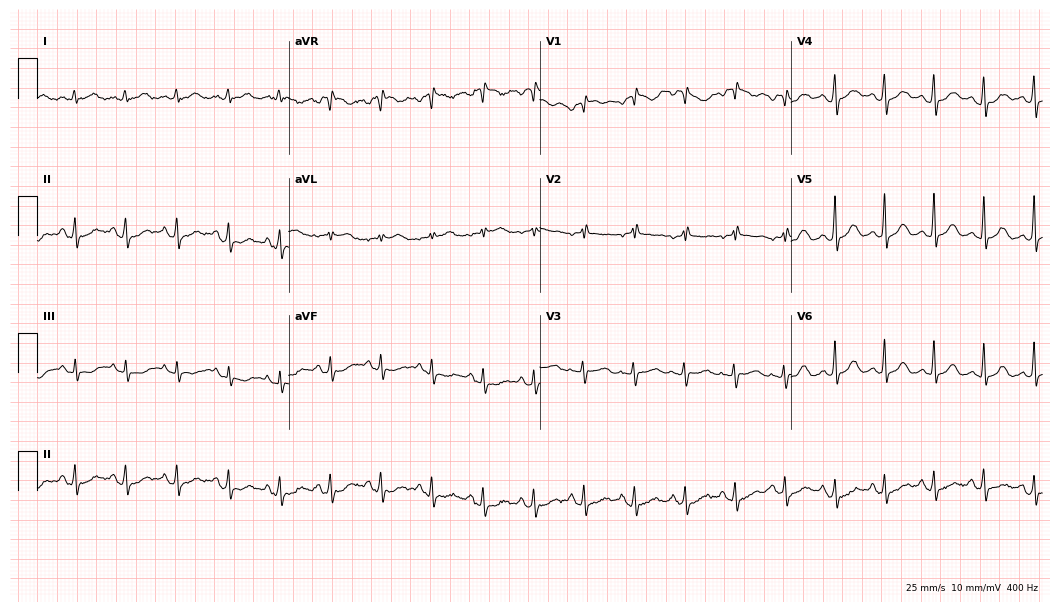
Electrocardiogram, a 34-year-old female patient. Interpretation includes sinus tachycardia (a sinus rate of 100 beats per minute or more).